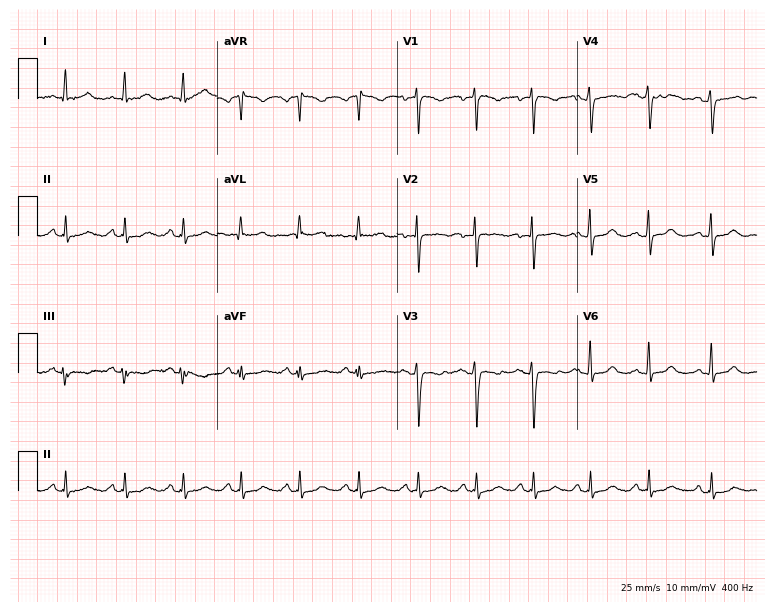
Resting 12-lead electrocardiogram (7.3-second recording at 400 Hz). Patient: a female, 41 years old. The tracing shows sinus tachycardia (a sinus rate of 100 beats per minute or more).